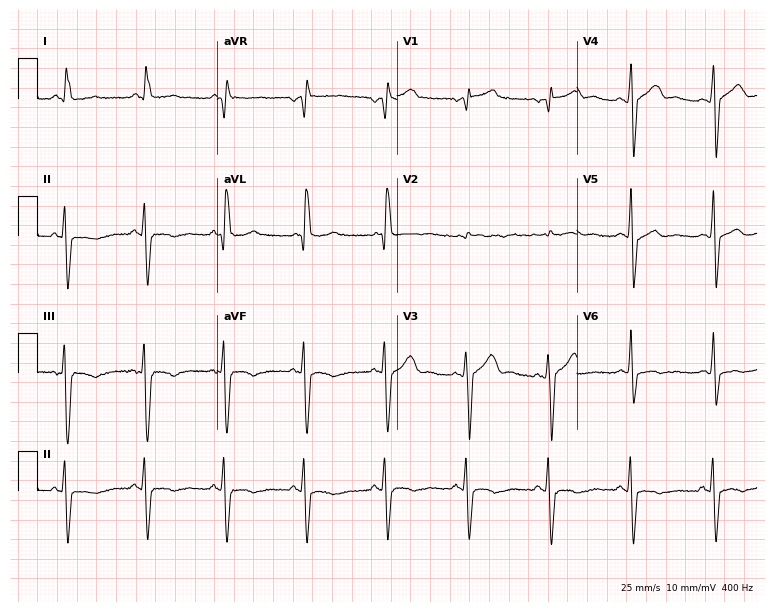
12-lead ECG (7.3-second recording at 400 Hz) from a 51-year-old male. Screened for six findings — first-degree AV block, right bundle branch block, left bundle branch block, sinus bradycardia, atrial fibrillation, sinus tachycardia — none is recorded.